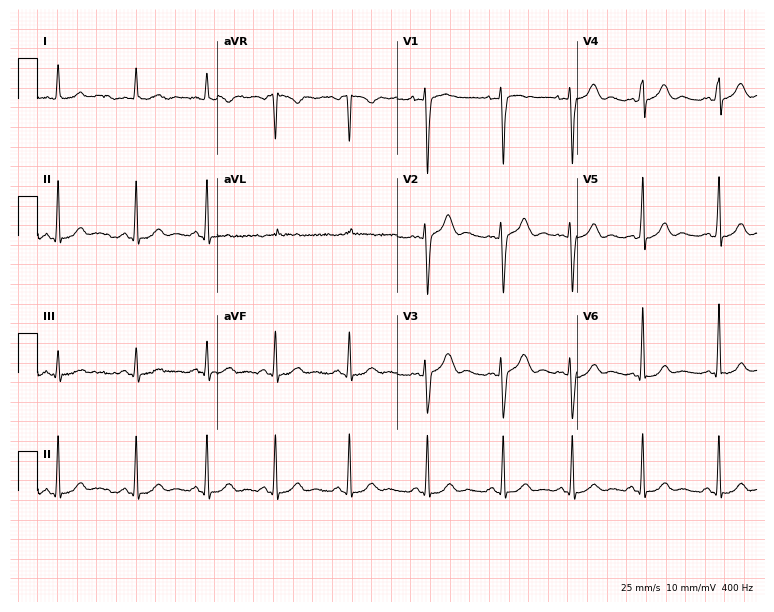
12-lead ECG from a female, 30 years old. Labelled as a normal ECG.